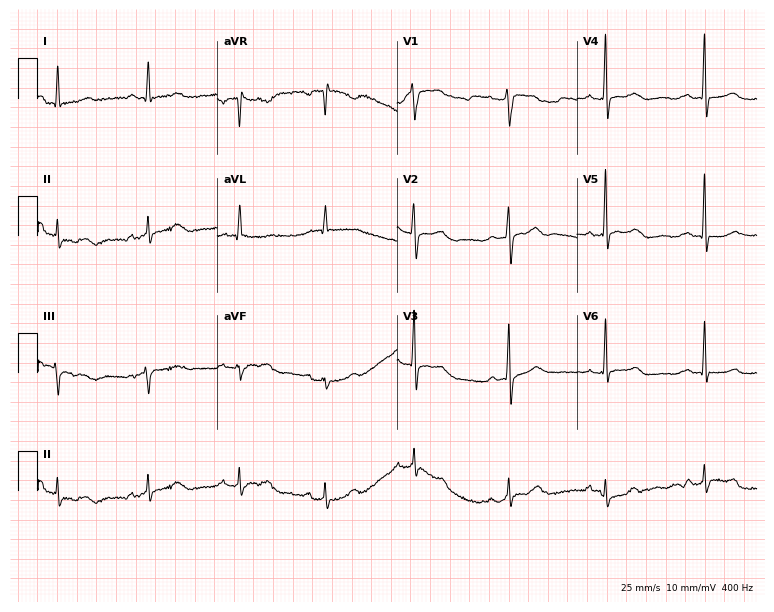
Resting 12-lead electrocardiogram (7.3-second recording at 400 Hz). Patient: a 53-year-old female. Read as a normal ECG.